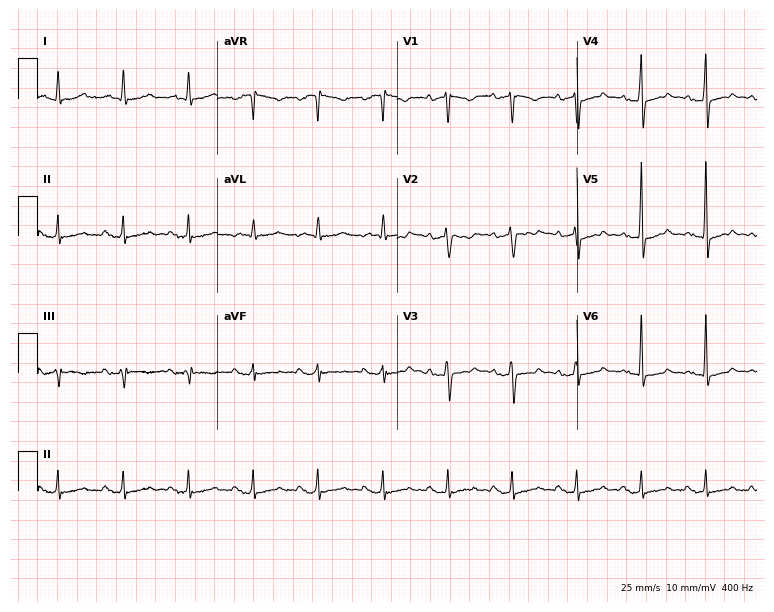
12-lead ECG from an 81-year-old female patient. No first-degree AV block, right bundle branch block, left bundle branch block, sinus bradycardia, atrial fibrillation or sinus tachycardia recorded for this tracing. Only these six findings were labelled.